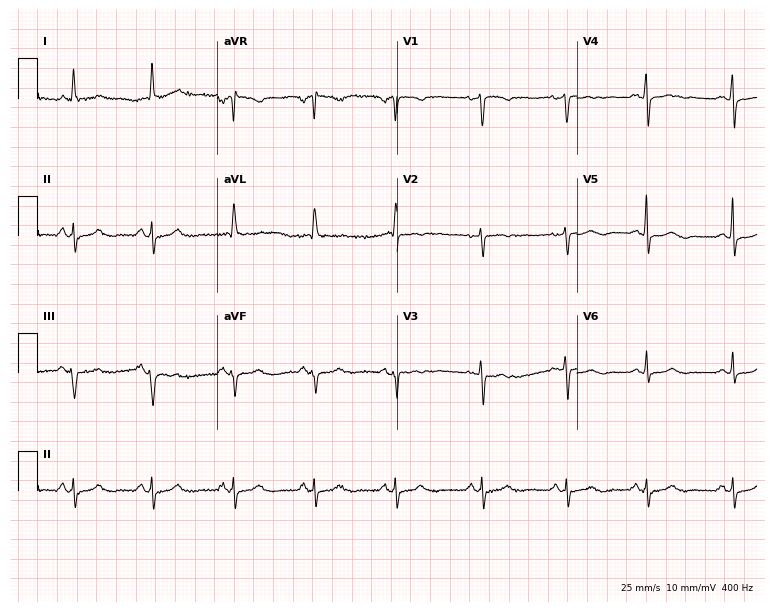
12-lead ECG (7.3-second recording at 400 Hz) from a 70-year-old woman. Screened for six findings — first-degree AV block, right bundle branch block, left bundle branch block, sinus bradycardia, atrial fibrillation, sinus tachycardia — none is recorded.